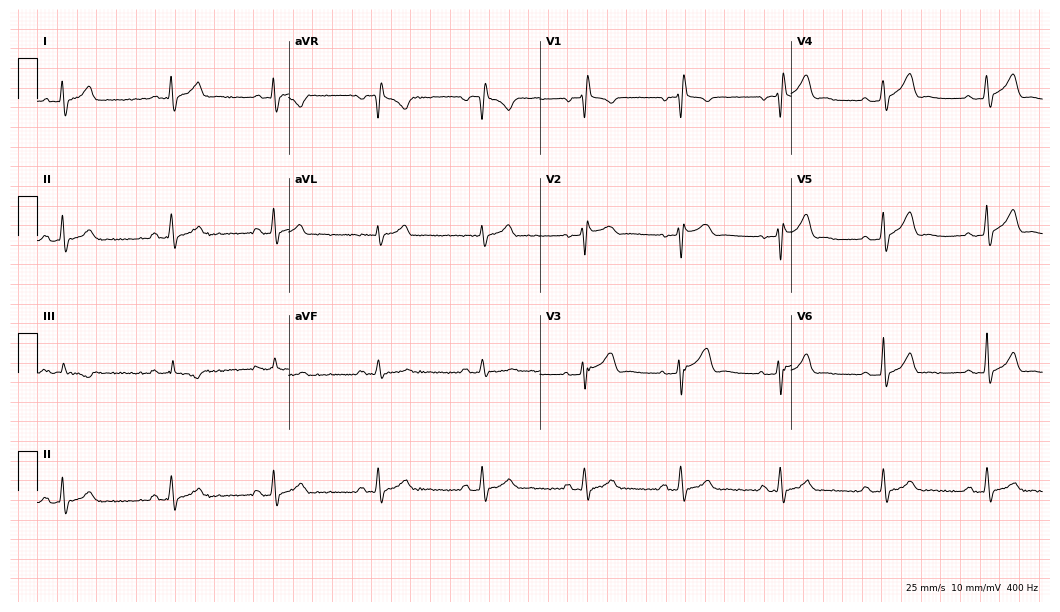
12-lead ECG from a 32-year-old male patient. No first-degree AV block, right bundle branch block (RBBB), left bundle branch block (LBBB), sinus bradycardia, atrial fibrillation (AF) or sinus tachycardia recorded for this tracing. Findings outside these six are not listed.